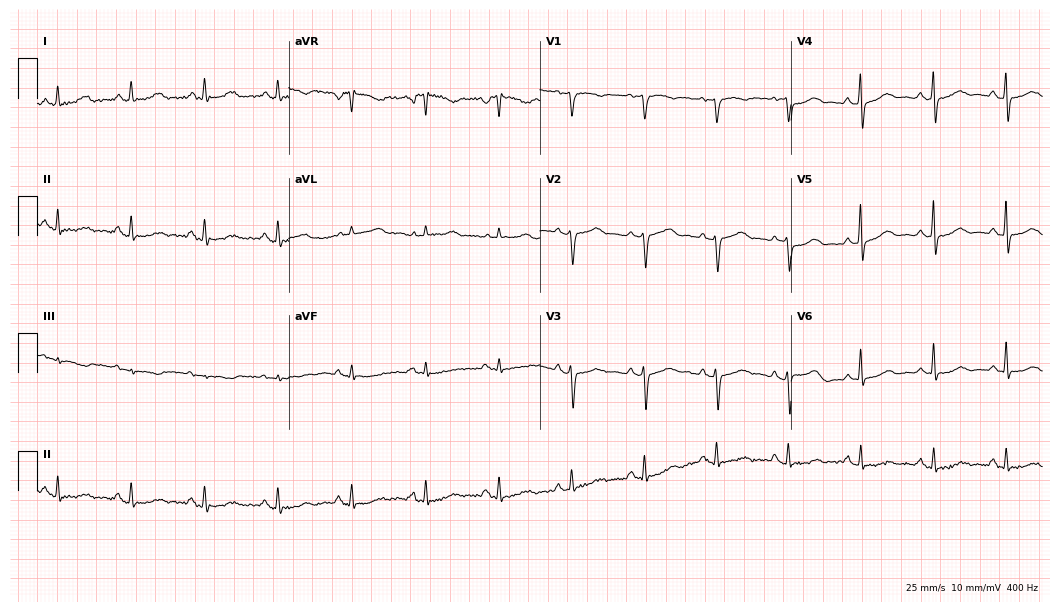
12-lead ECG from a 71-year-old female. Screened for six findings — first-degree AV block, right bundle branch block, left bundle branch block, sinus bradycardia, atrial fibrillation, sinus tachycardia — none is recorded. Only these six findings were labelled.